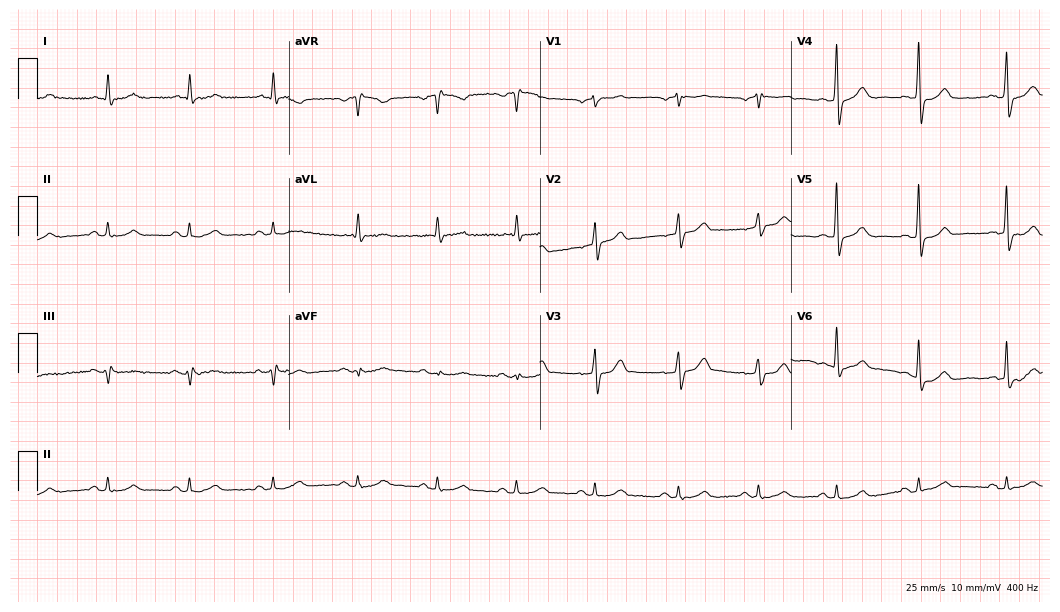
Electrocardiogram, a 62-year-old male patient. Overall reading on record: normal ECG.